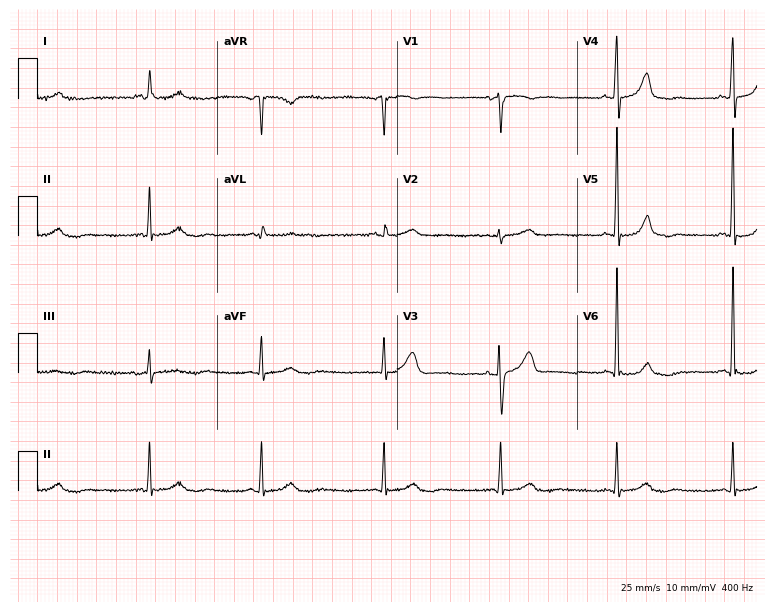
ECG (7.3-second recording at 400 Hz) — a 65-year-old female. Screened for six findings — first-degree AV block, right bundle branch block, left bundle branch block, sinus bradycardia, atrial fibrillation, sinus tachycardia — none is recorded. Other findings, if any, are not listed.